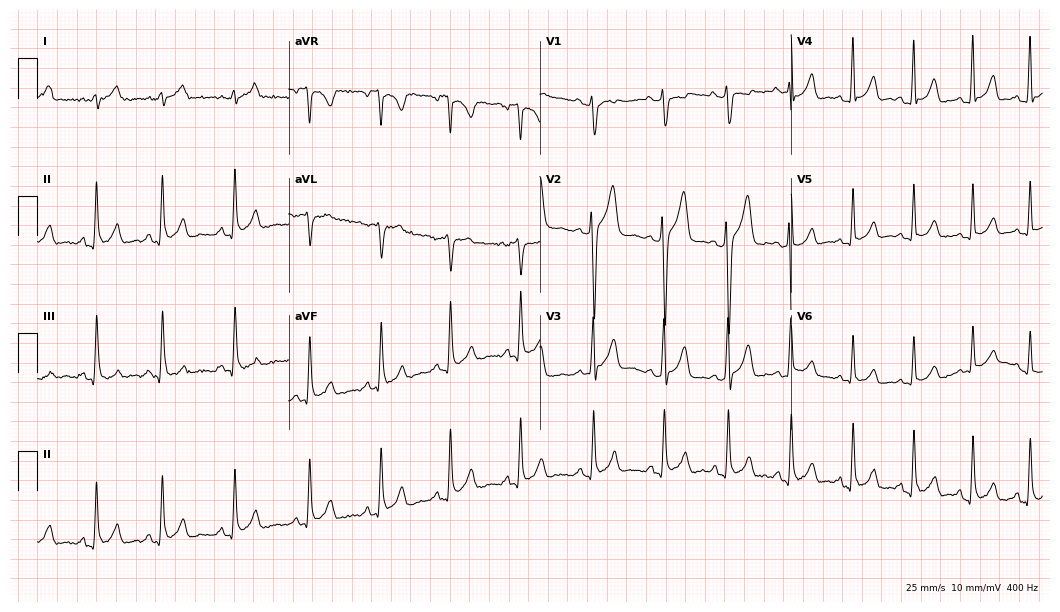
12-lead ECG (10.2-second recording at 400 Hz) from a 24-year-old male patient. Screened for six findings — first-degree AV block, right bundle branch block (RBBB), left bundle branch block (LBBB), sinus bradycardia, atrial fibrillation (AF), sinus tachycardia — none is recorded. Only these six findings were labelled.